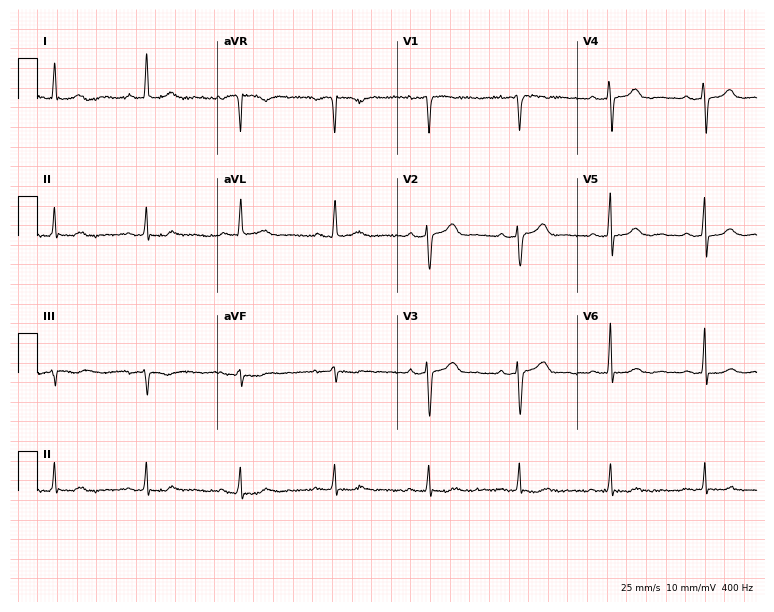
Electrocardiogram, a female, 60 years old. Of the six screened findings (first-degree AV block, right bundle branch block (RBBB), left bundle branch block (LBBB), sinus bradycardia, atrial fibrillation (AF), sinus tachycardia), none is recorded. Other findings, if any, are not listed.